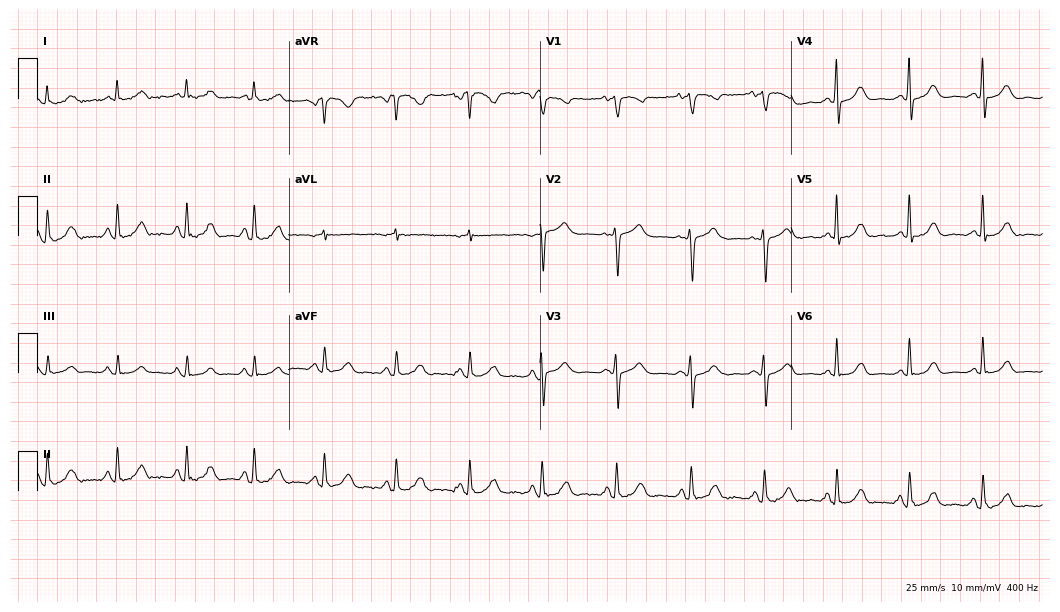
ECG — a 70-year-old woman. Labelled as a normal ECG.